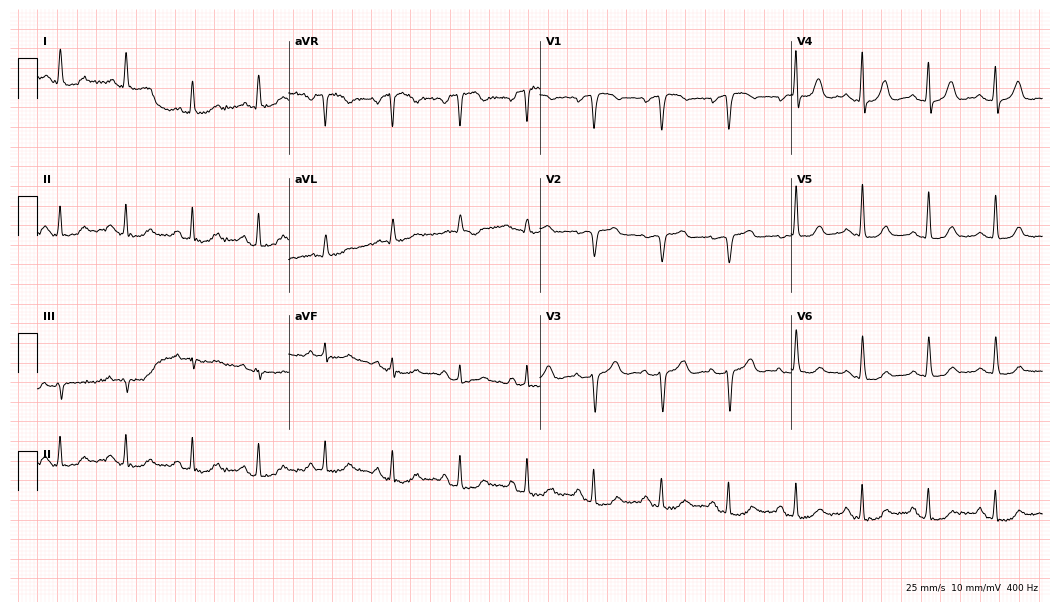
ECG (10.2-second recording at 400 Hz) — a woman, 72 years old. Screened for six findings — first-degree AV block, right bundle branch block (RBBB), left bundle branch block (LBBB), sinus bradycardia, atrial fibrillation (AF), sinus tachycardia — none is recorded.